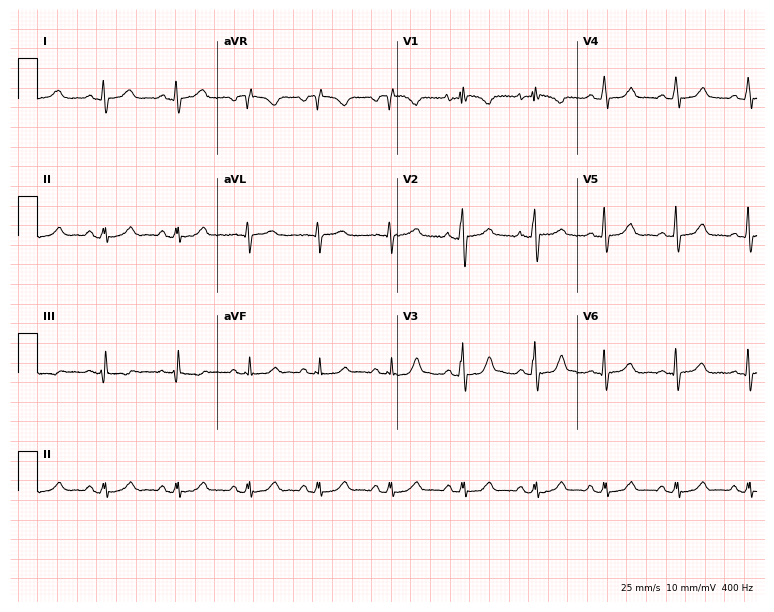
12-lead ECG from a female patient, 25 years old (7.3-second recording at 400 Hz). Recorded interpretation: within normal limits.